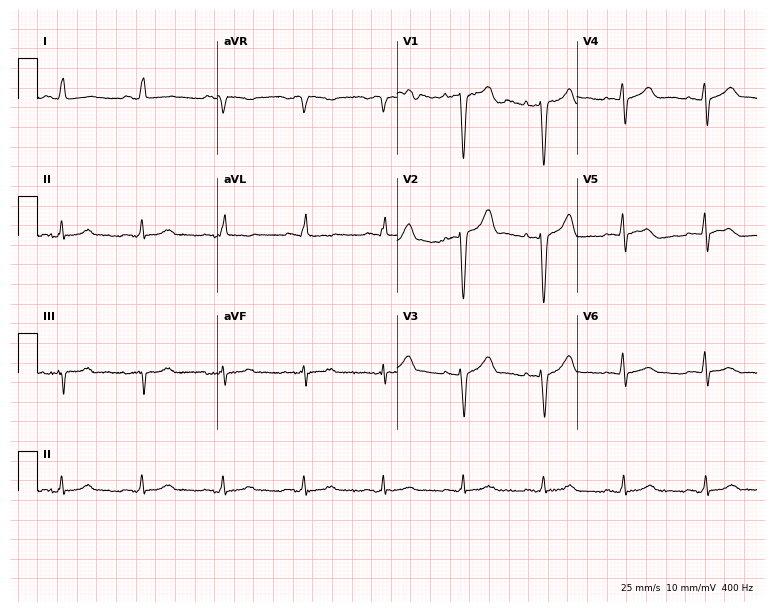
12-lead ECG (7.3-second recording at 400 Hz) from a 49-year-old female patient. Screened for six findings — first-degree AV block, right bundle branch block, left bundle branch block, sinus bradycardia, atrial fibrillation, sinus tachycardia — none is recorded. Other findings, if any, are not listed.